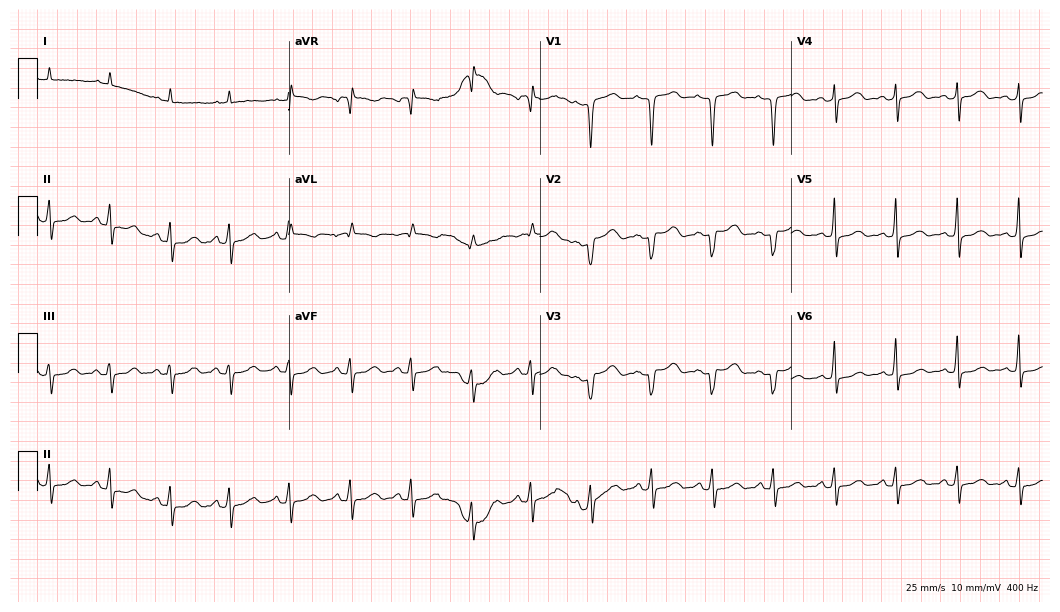
12-lead ECG from a female, 80 years old. Labelled as a normal ECG.